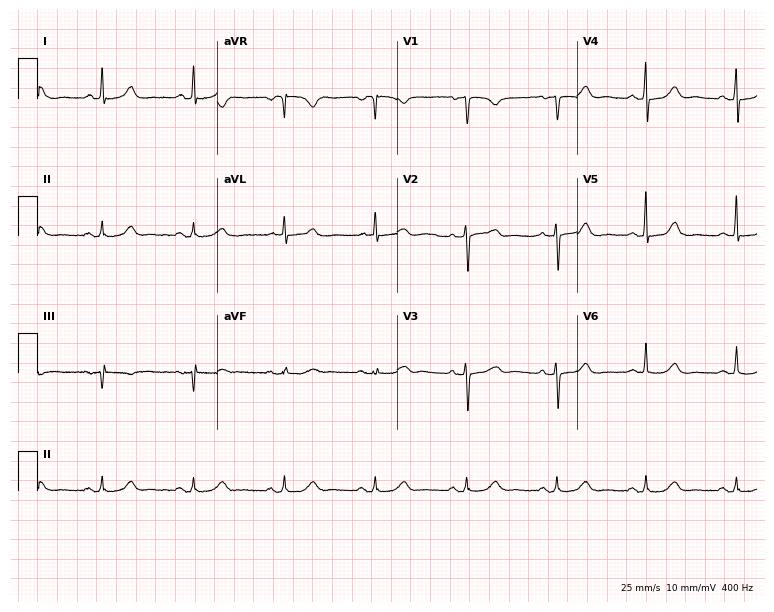
12-lead ECG from a woman, 62 years old. Labelled as a normal ECG.